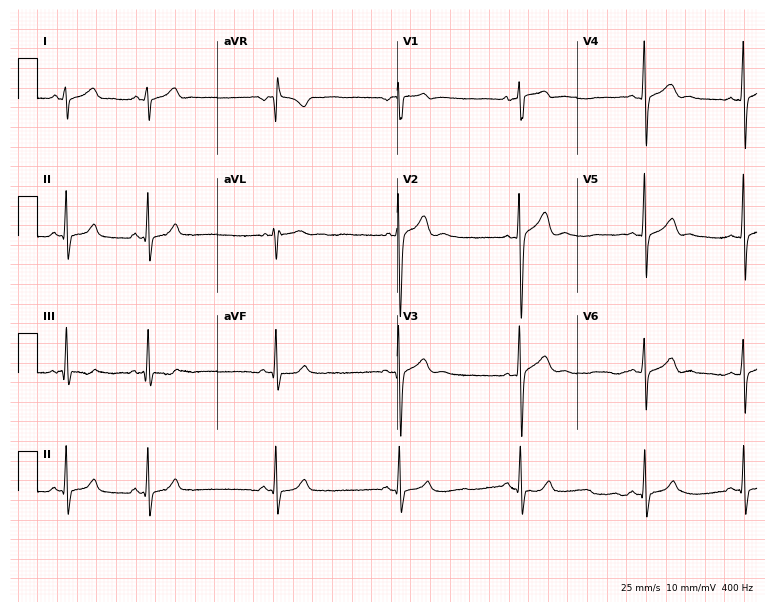
12-lead ECG from a man, 17 years old. Recorded interpretation: within normal limits.